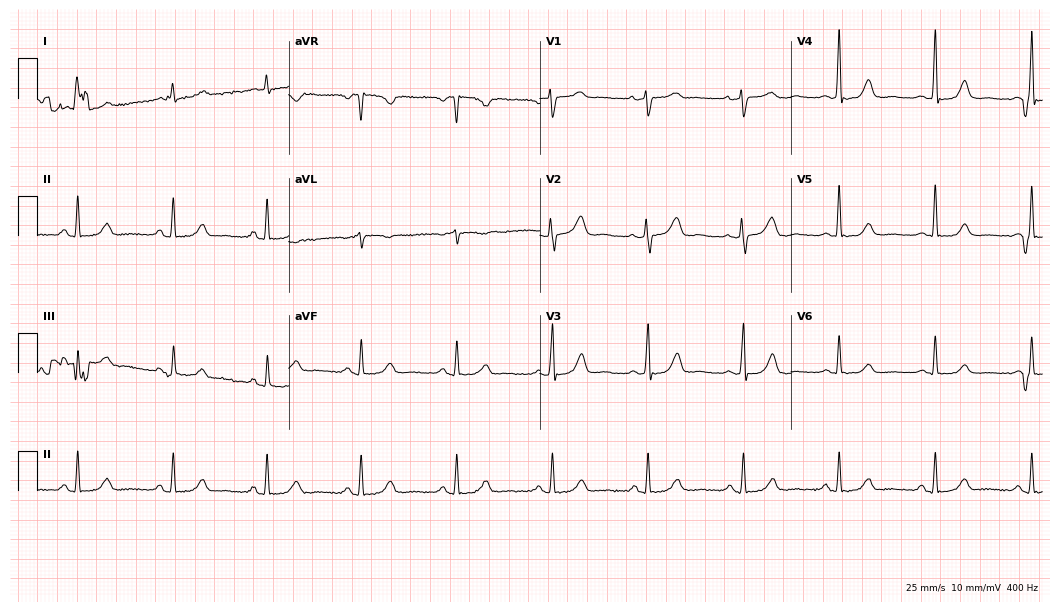
Electrocardiogram (10.2-second recording at 400 Hz), a female, 54 years old. Overall reading on record: normal ECG.